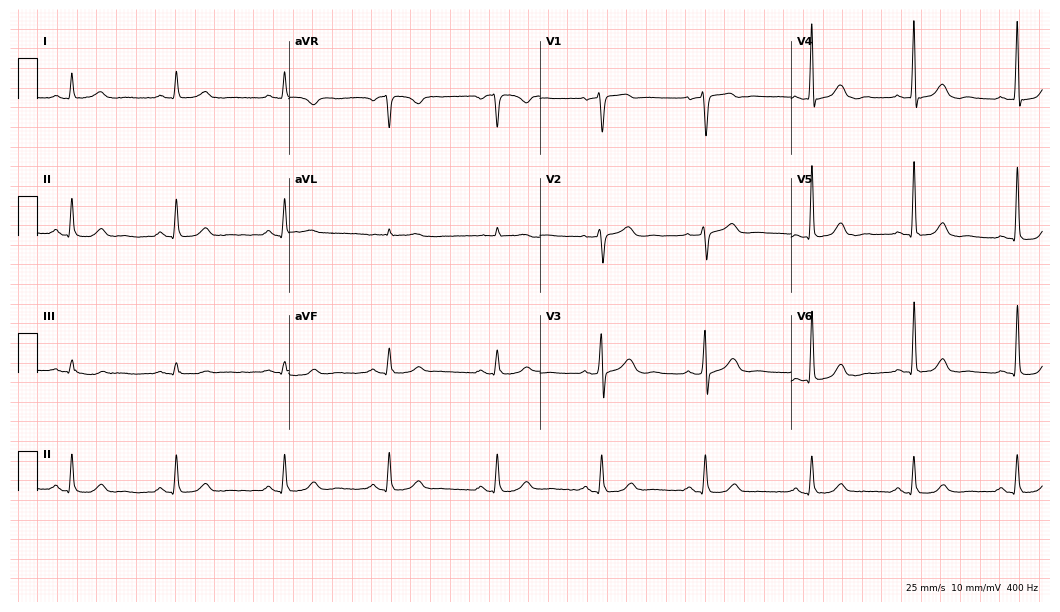
12-lead ECG from a 69-year-old man. Screened for six findings — first-degree AV block, right bundle branch block, left bundle branch block, sinus bradycardia, atrial fibrillation, sinus tachycardia — none is recorded.